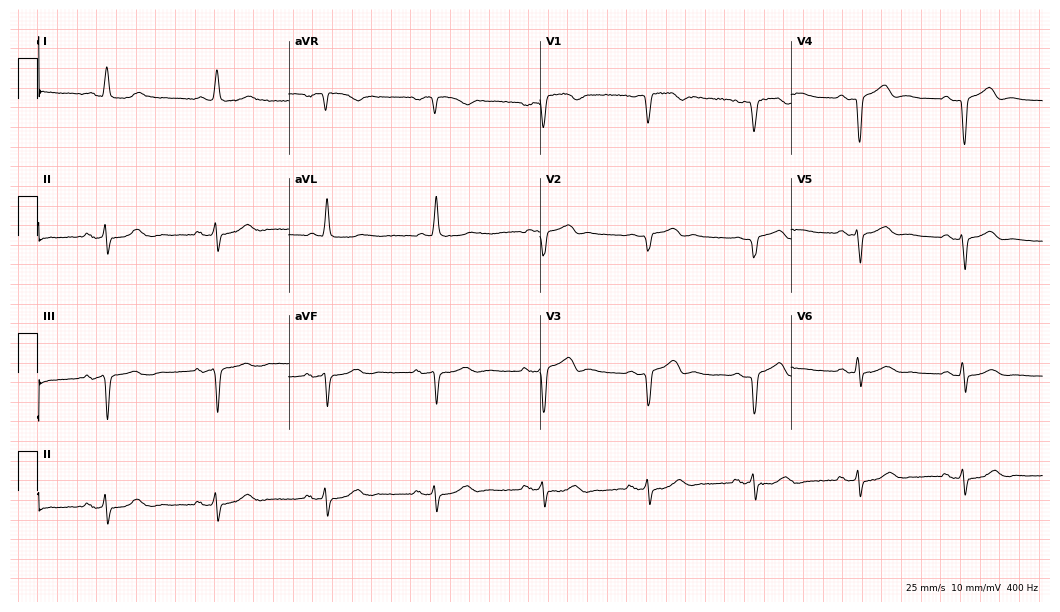
Standard 12-lead ECG recorded from a 75-year-old male patient (10.2-second recording at 400 Hz). None of these six findings is recorded: first-degree AV block, right bundle branch block (RBBB), left bundle branch block (LBBB), sinus bradycardia, atrial fibrillation (AF), sinus tachycardia. Findings outside these six are not listed.